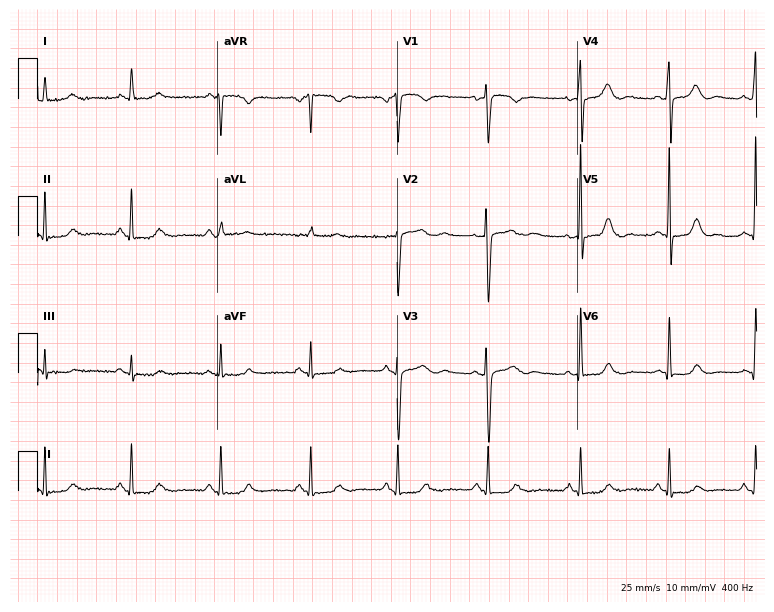
Electrocardiogram, a 42-year-old woman. Of the six screened findings (first-degree AV block, right bundle branch block (RBBB), left bundle branch block (LBBB), sinus bradycardia, atrial fibrillation (AF), sinus tachycardia), none is recorded. Only these six findings were labelled.